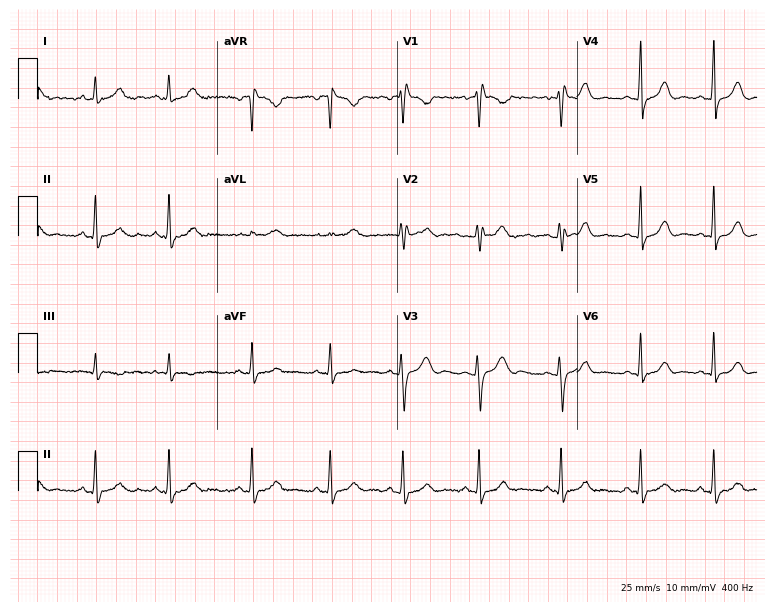
Standard 12-lead ECG recorded from a 23-year-old female (7.3-second recording at 400 Hz). None of these six findings is recorded: first-degree AV block, right bundle branch block, left bundle branch block, sinus bradycardia, atrial fibrillation, sinus tachycardia.